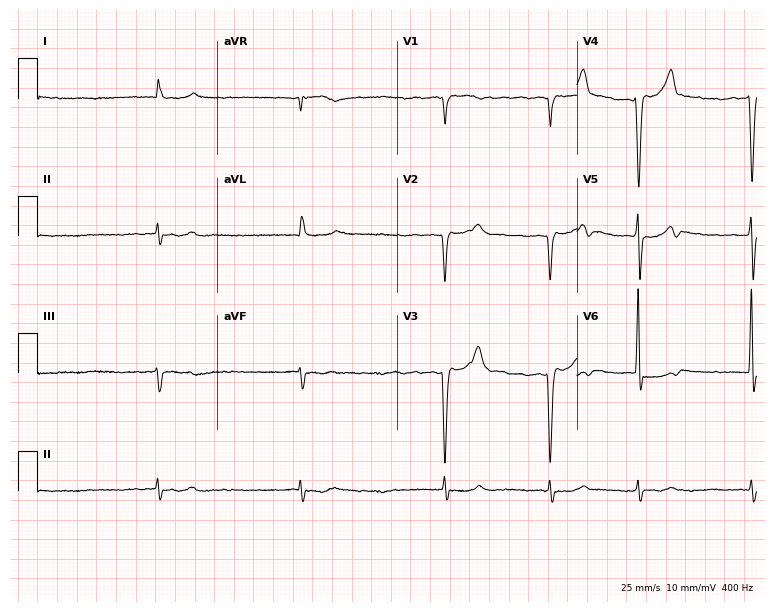
12-lead ECG from a man, 82 years old. Shows atrial fibrillation (AF).